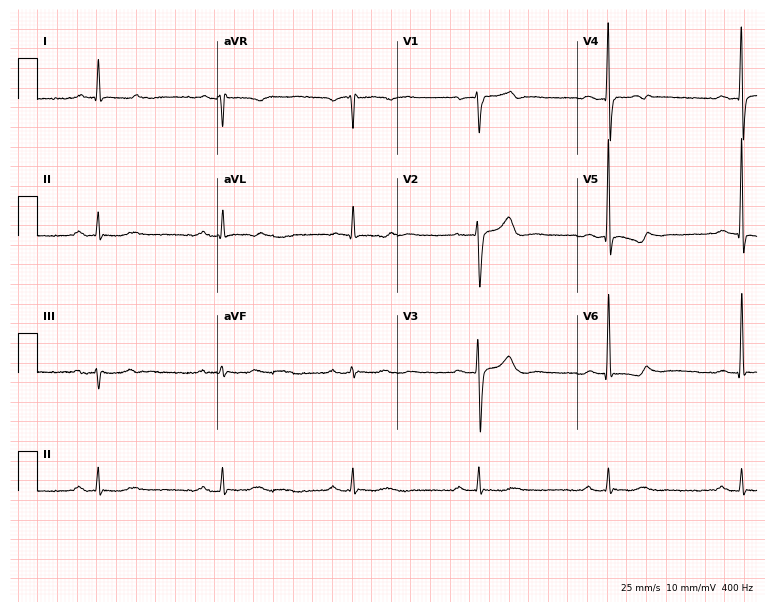
Resting 12-lead electrocardiogram. Patient: a 76-year-old male. The tracing shows first-degree AV block, sinus bradycardia (a sinus rate of 50 beats per minute or less).